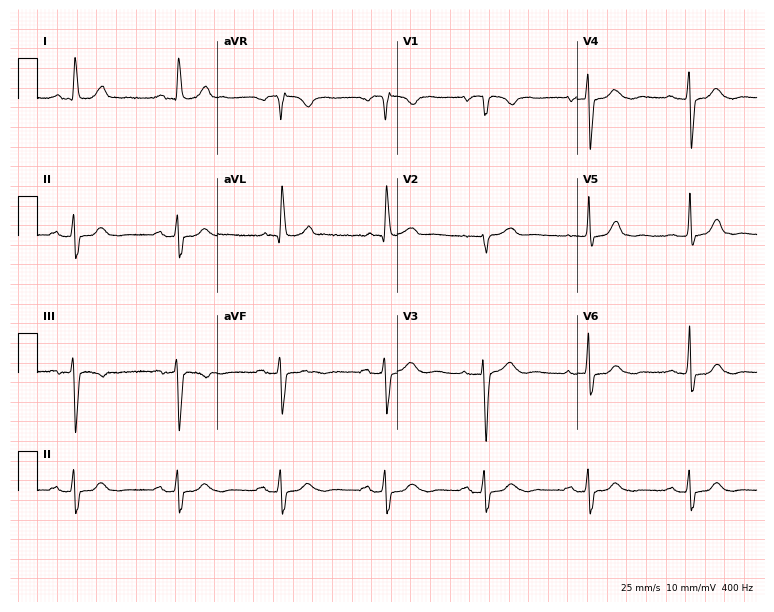
Resting 12-lead electrocardiogram (7.3-second recording at 400 Hz). Patient: a woman, 71 years old. Read as a normal ECG.